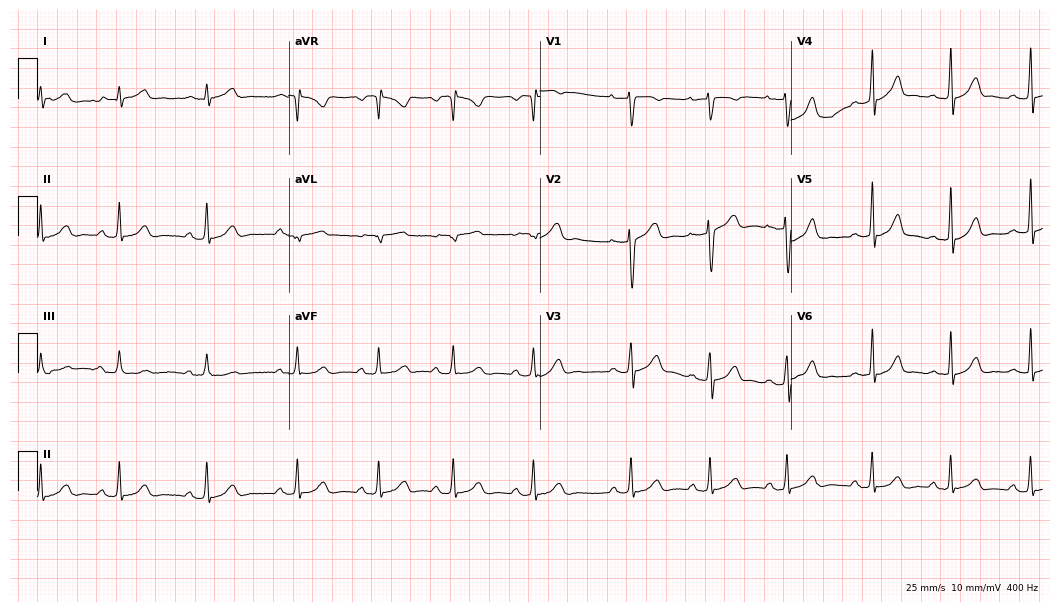
12-lead ECG (10.2-second recording at 400 Hz) from a female patient, 23 years old. Labelled as a normal ECG.